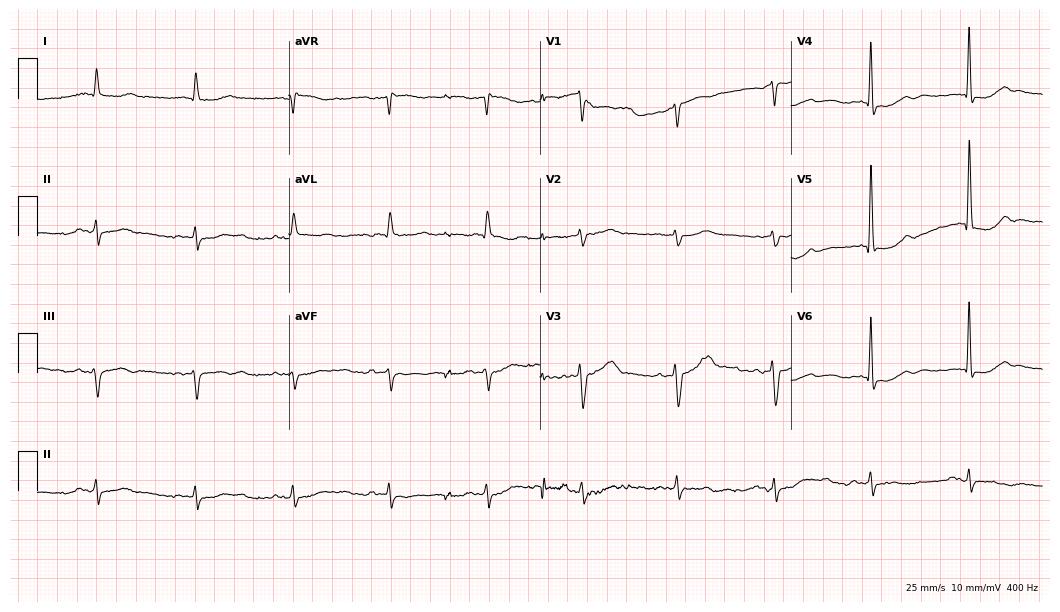
ECG (10.2-second recording at 400 Hz) — a 57-year-old male patient. Screened for six findings — first-degree AV block, right bundle branch block, left bundle branch block, sinus bradycardia, atrial fibrillation, sinus tachycardia — none is recorded.